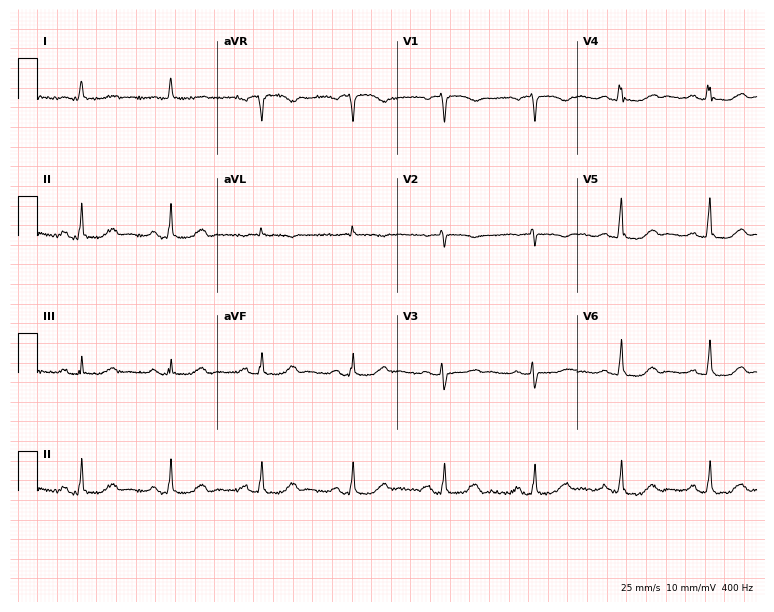
ECG — an 81-year-old female. Labelled as a normal ECG.